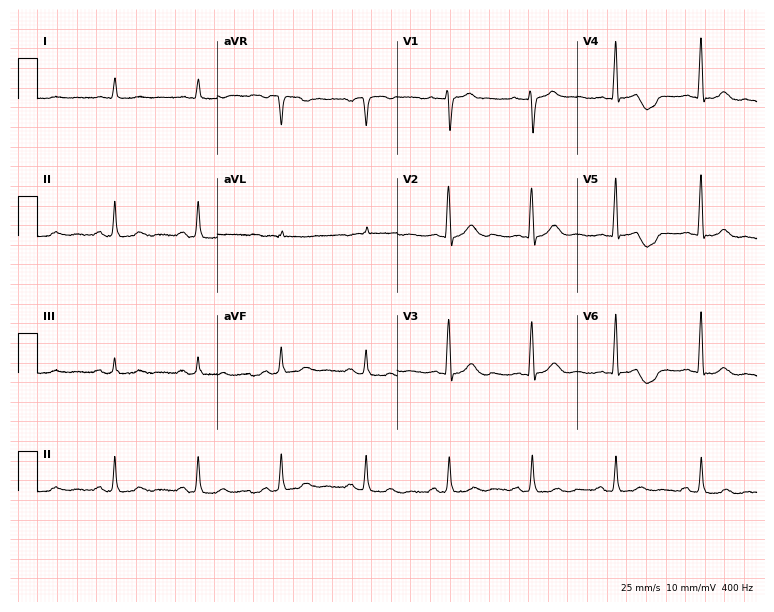
Resting 12-lead electrocardiogram (7.3-second recording at 400 Hz). Patient: a 78-year-old male. Read as a normal ECG.